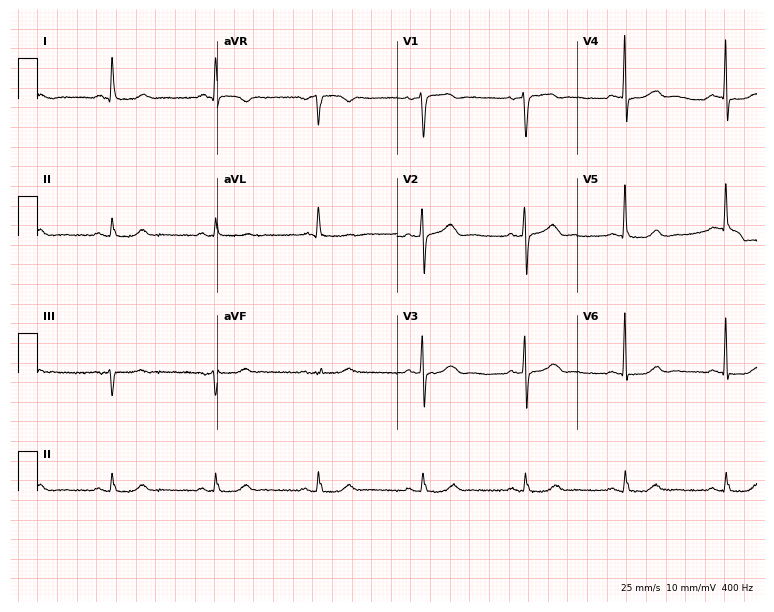
12-lead ECG (7.3-second recording at 400 Hz) from a male patient, 74 years old. Screened for six findings — first-degree AV block, right bundle branch block (RBBB), left bundle branch block (LBBB), sinus bradycardia, atrial fibrillation (AF), sinus tachycardia — none is recorded.